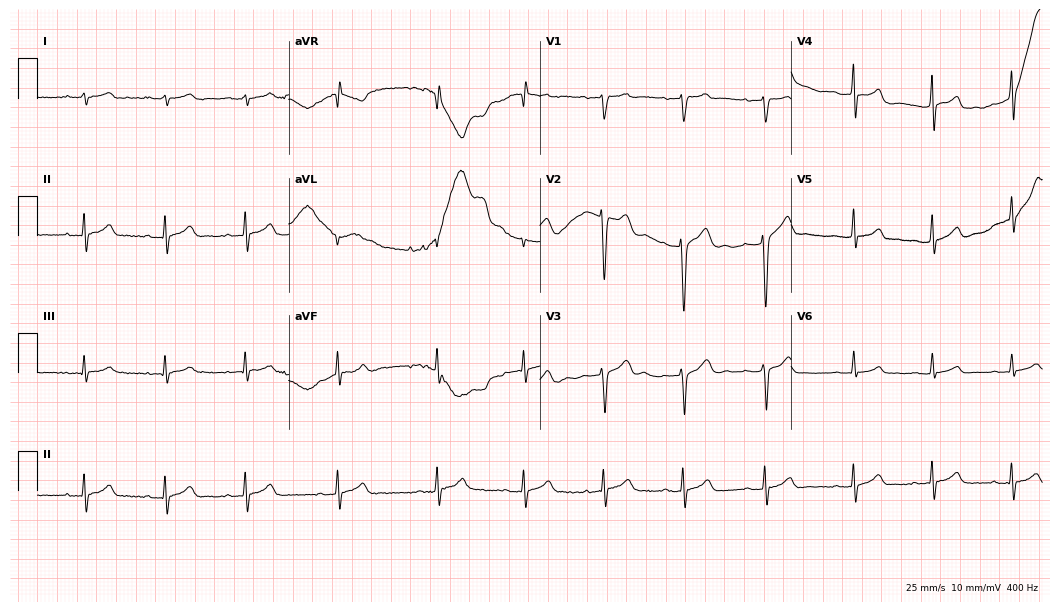
Standard 12-lead ECG recorded from a male, 19 years old (10.2-second recording at 400 Hz). Read as a normal ECG.